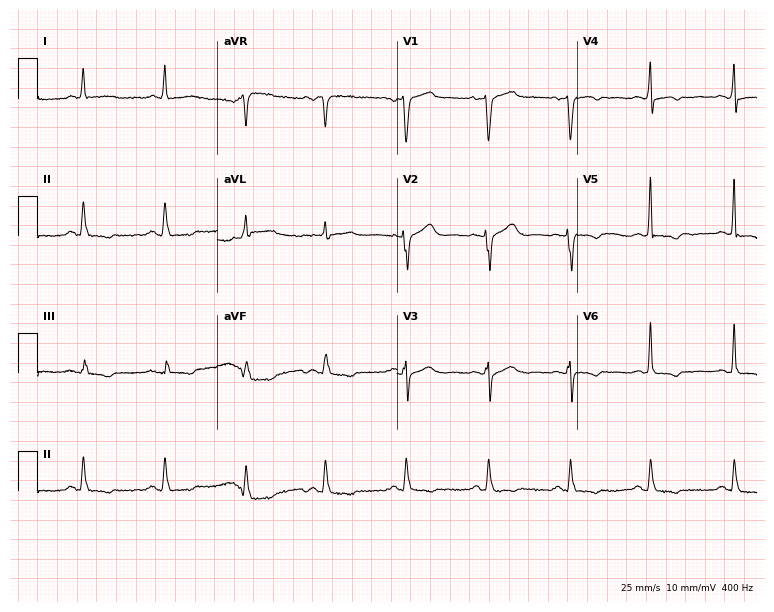
Electrocardiogram, a male patient, 63 years old. Of the six screened findings (first-degree AV block, right bundle branch block, left bundle branch block, sinus bradycardia, atrial fibrillation, sinus tachycardia), none is recorded.